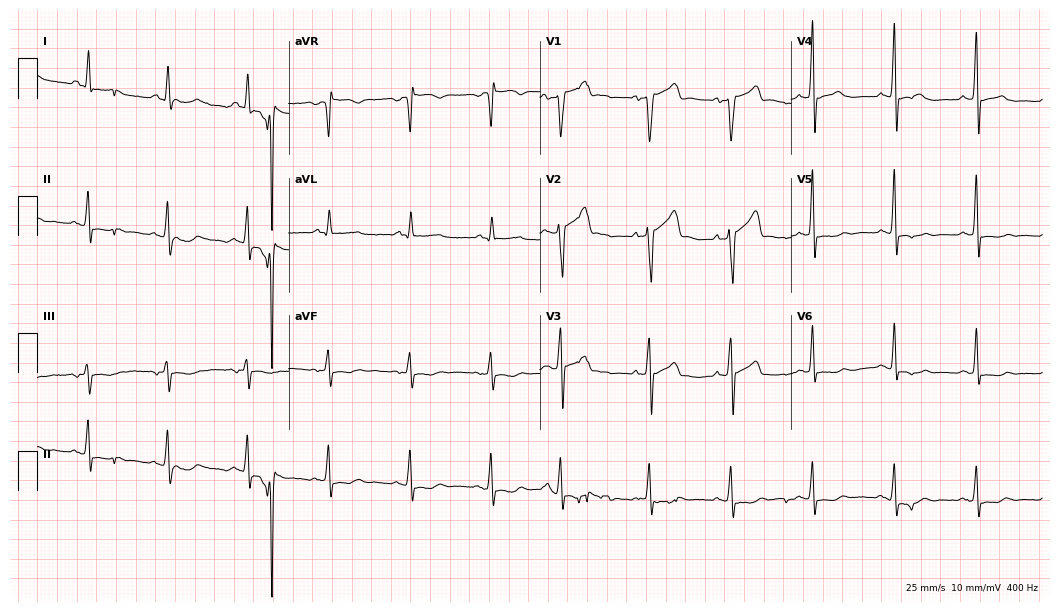
ECG (10.2-second recording at 400 Hz) — a male, 73 years old. Screened for six findings — first-degree AV block, right bundle branch block, left bundle branch block, sinus bradycardia, atrial fibrillation, sinus tachycardia — none is recorded.